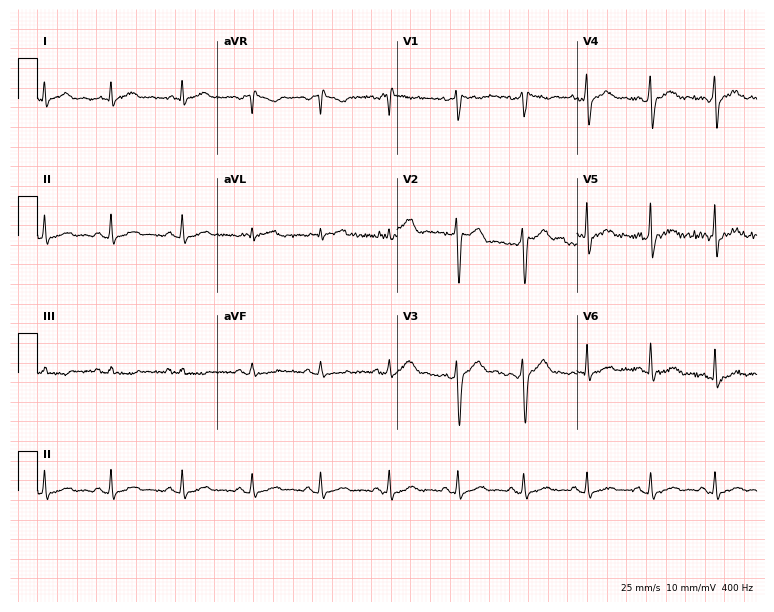
Resting 12-lead electrocardiogram (7.3-second recording at 400 Hz). Patient: a 26-year-old male. None of these six findings is recorded: first-degree AV block, right bundle branch block, left bundle branch block, sinus bradycardia, atrial fibrillation, sinus tachycardia.